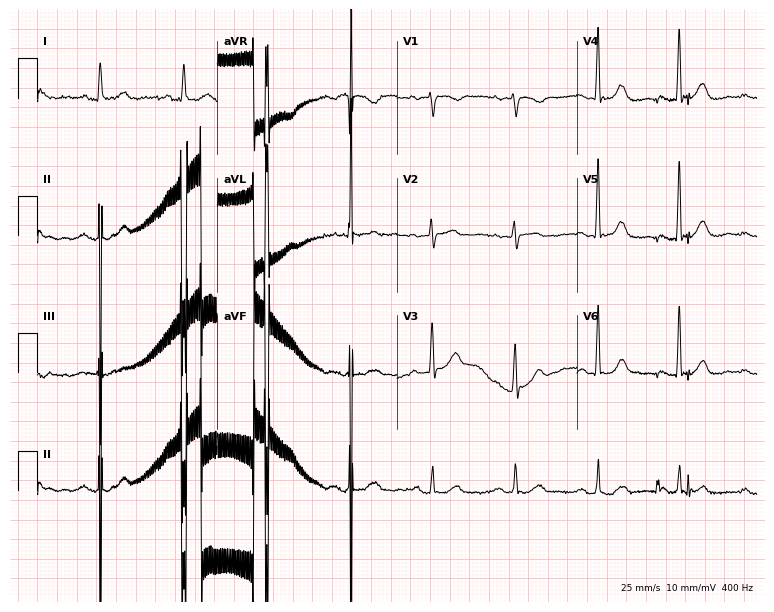
Resting 12-lead electrocardiogram (7.3-second recording at 400 Hz). Patient: a woman, 83 years old. Read as a normal ECG.